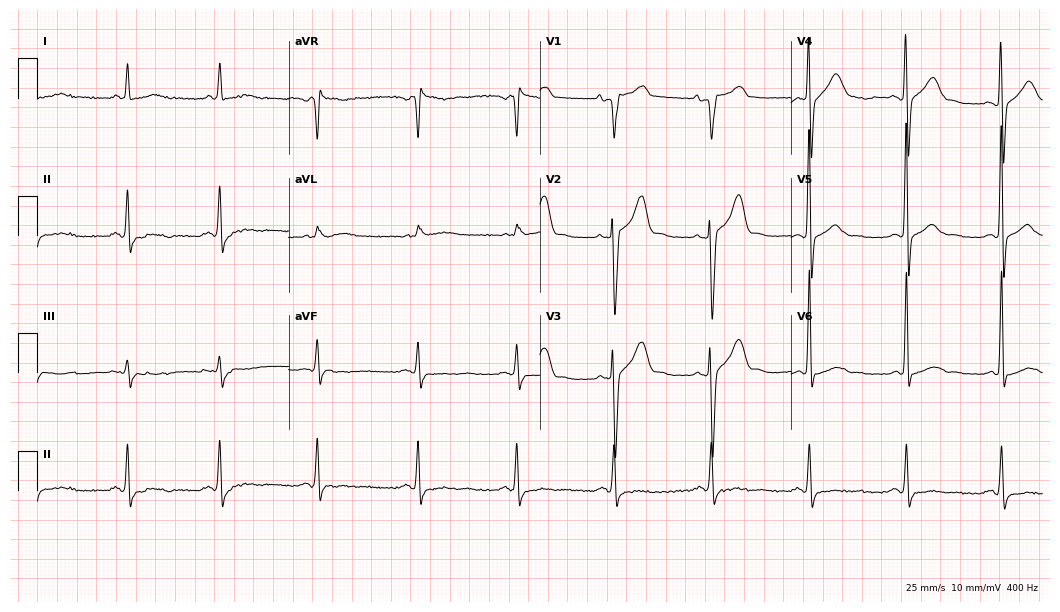
Electrocardiogram, a man, 74 years old. Of the six screened findings (first-degree AV block, right bundle branch block (RBBB), left bundle branch block (LBBB), sinus bradycardia, atrial fibrillation (AF), sinus tachycardia), none is recorded.